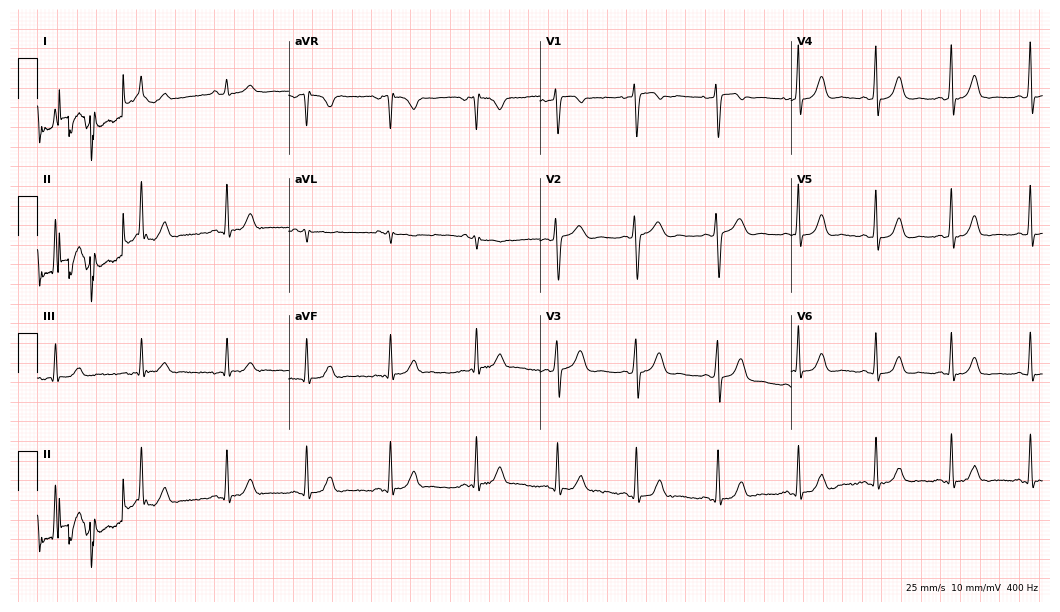
ECG (10.2-second recording at 400 Hz) — a female, 24 years old. Labelled as a normal ECG.